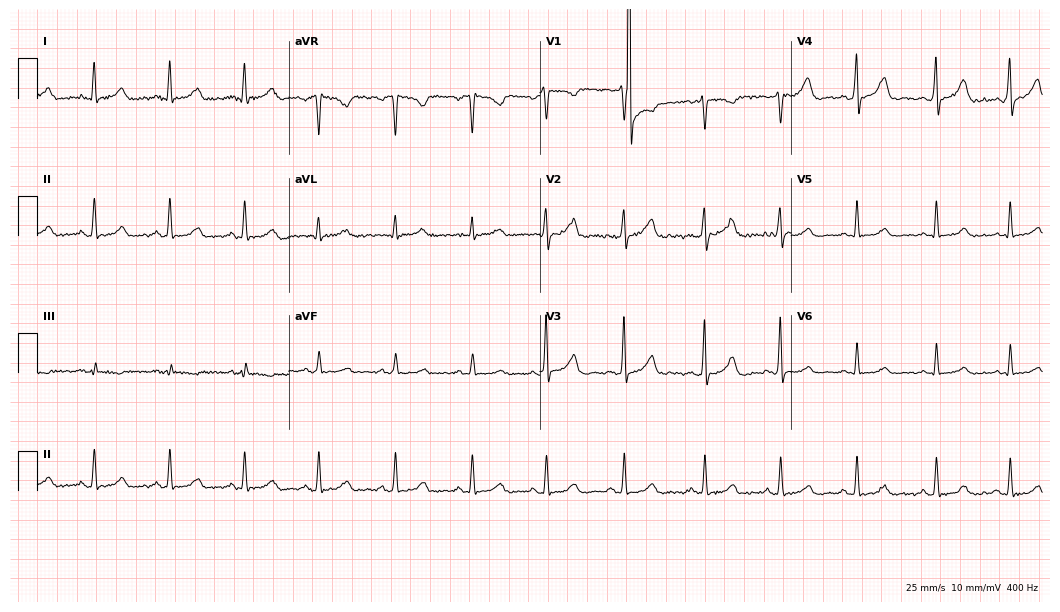
12-lead ECG from a female, 43 years old. Recorded interpretation: within normal limits.